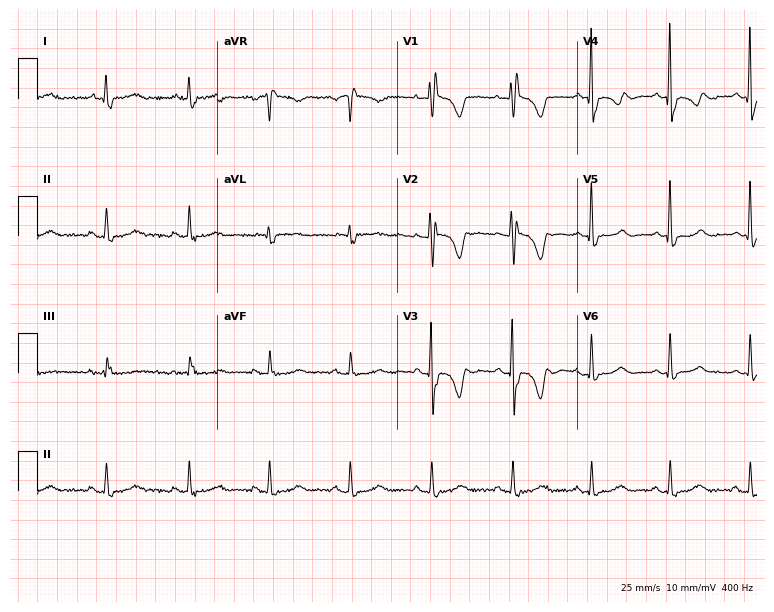
Standard 12-lead ECG recorded from a female patient, 60 years old. The tracing shows right bundle branch block.